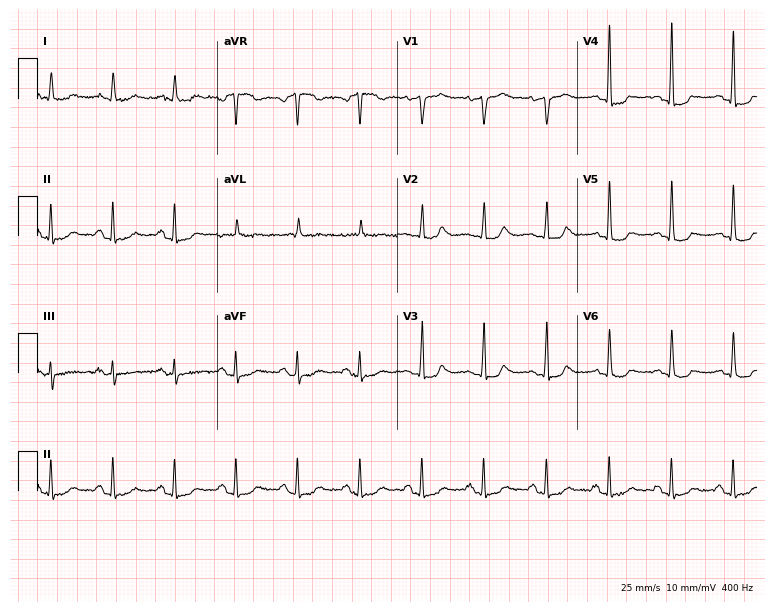
Electrocardiogram, a 72-year-old female patient. Of the six screened findings (first-degree AV block, right bundle branch block, left bundle branch block, sinus bradycardia, atrial fibrillation, sinus tachycardia), none is recorded. Other findings, if any, are not listed.